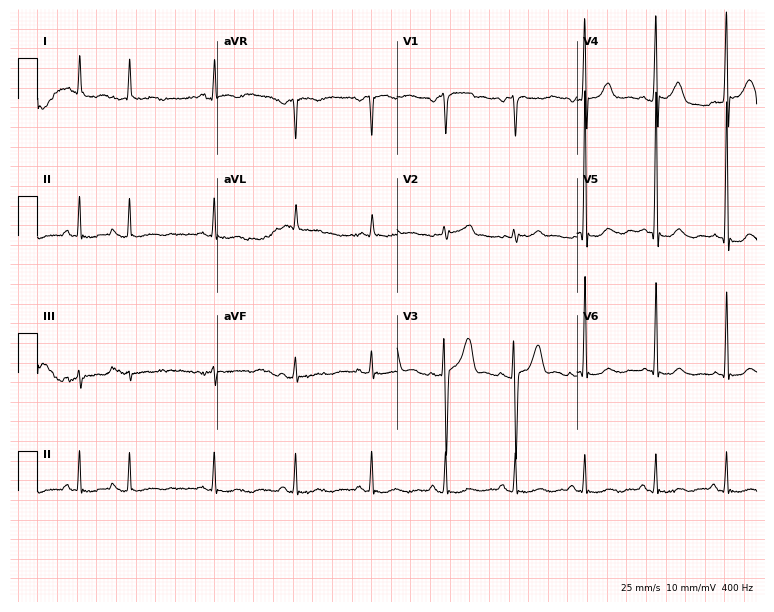
12-lead ECG from a 79-year-old woman (7.3-second recording at 400 Hz). No first-degree AV block, right bundle branch block (RBBB), left bundle branch block (LBBB), sinus bradycardia, atrial fibrillation (AF) or sinus tachycardia recorded for this tracing. Other findings, if any, are not listed.